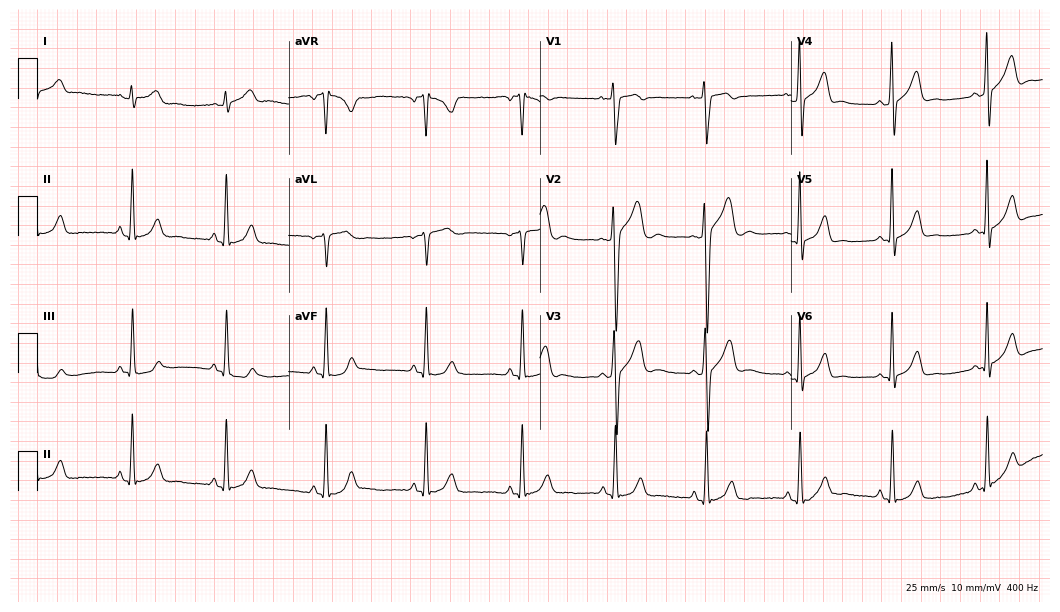
Standard 12-lead ECG recorded from a male, 22 years old. Read as a normal ECG.